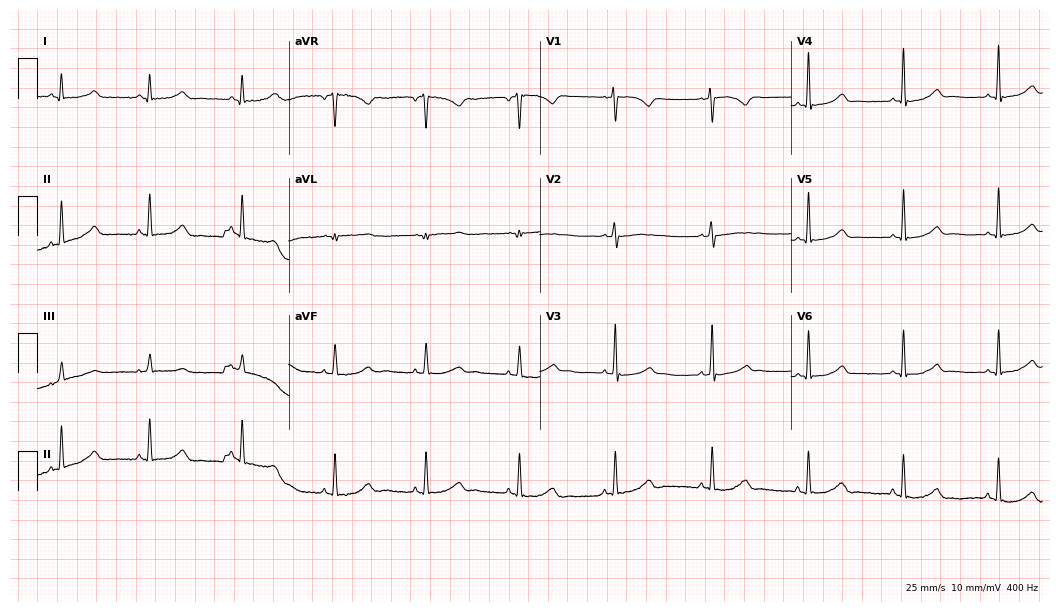
Electrocardiogram (10.2-second recording at 400 Hz), a 39-year-old female patient. Overall reading on record: normal ECG.